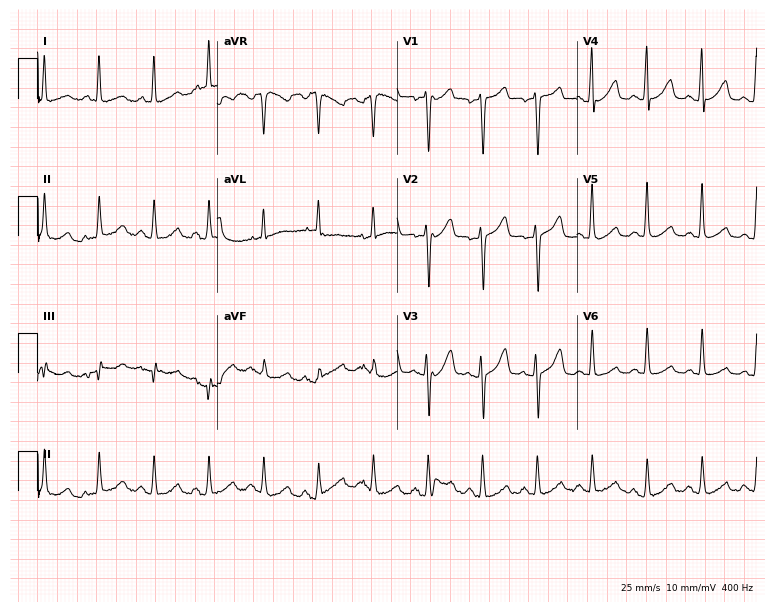
Electrocardiogram, a 64-year-old female. Interpretation includes sinus tachycardia (a sinus rate of 100 beats per minute or more).